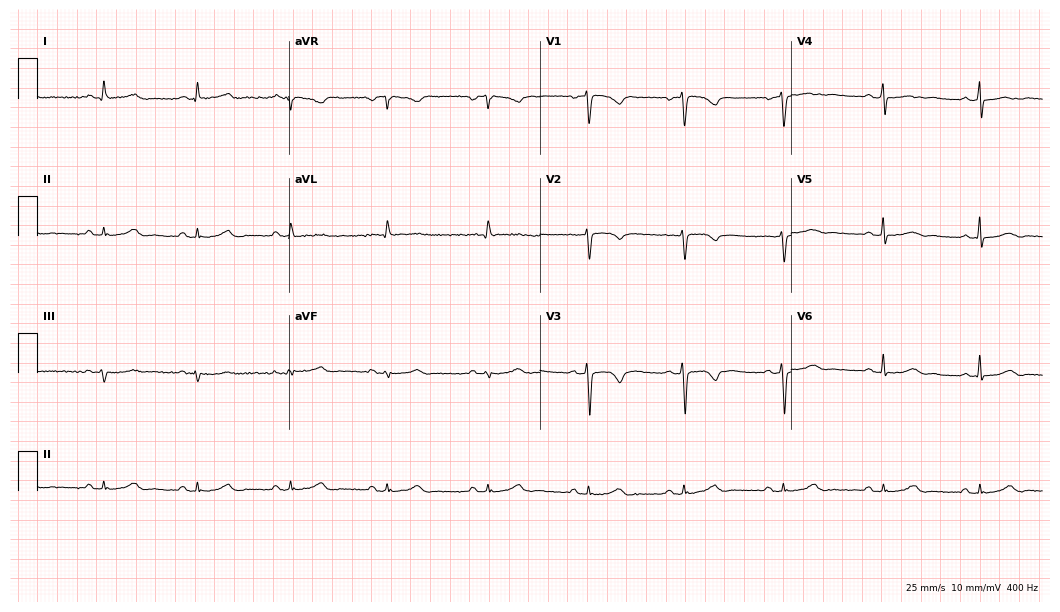
ECG (10.2-second recording at 400 Hz) — a 47-year-old female patient. Screened for six findings — first-degree AV block, right bundle branch block, left bundle branch block, sinus bradycardia, atrial fibrillation, sinus tachycardia — none is recorded.